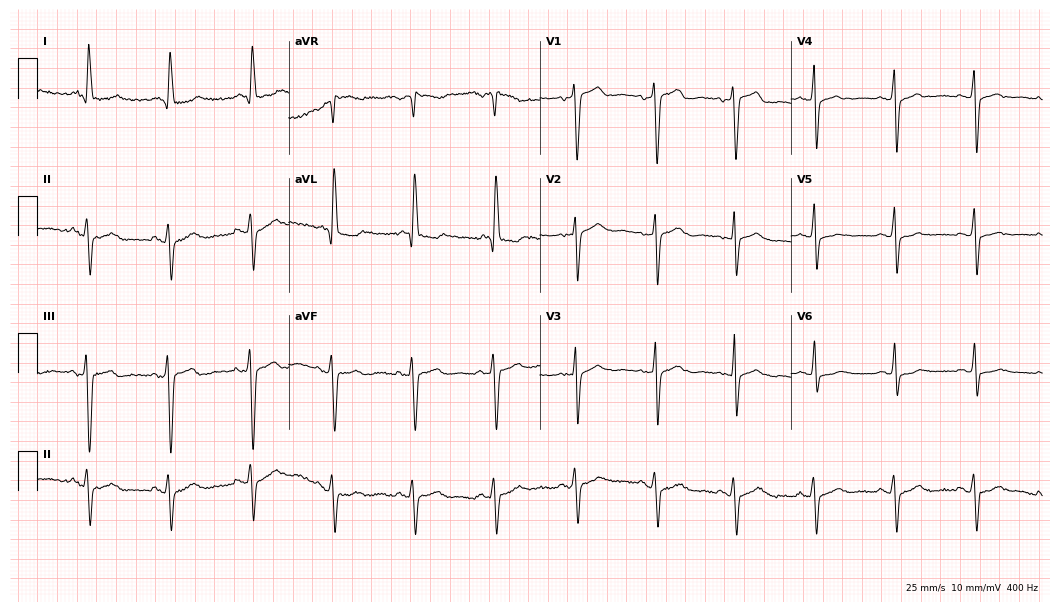
ECG (10.2-second recording at 400 Hz) — a female patient, 79 years old. Screened for six findings — first-degree AV block, right bundle branch block, left bundle branch block, sinus bradycardia, atrial fibrillation, sinus tachycardia — none is recorded. Findings outside these six are not listed.